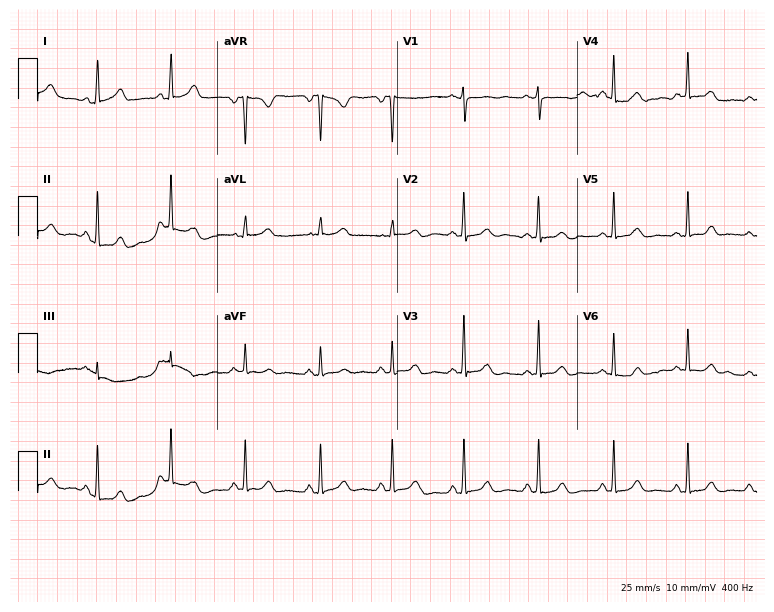
ECG (7.3-second recording at 400 Hz) — a woman, 43 years old. Labelled as a normal ECG.